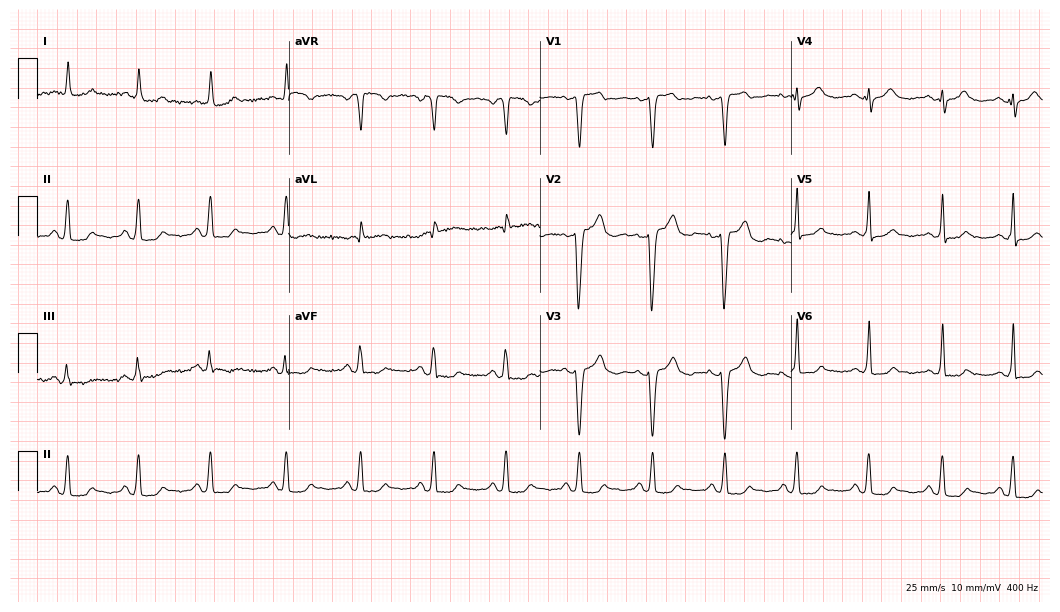
ECG — a 71-year-old woman. Screened for six findings — first-degree AV block, right bundle branch block (RBBB), left bundle branch block (LBBB), sinus bradycardia, atrial fibrillation (AF), sinus tachycardia — none is recorded. Other findings, if any, are not listed.